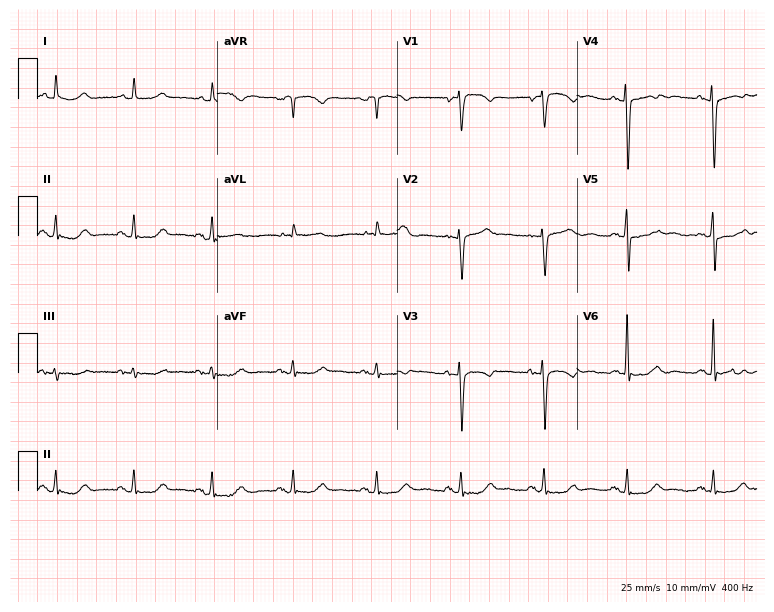
Resting 12-lead electrocardiogram. Patient: a female, 68 years old. None of these six findings is recorded: first-degree AV block, right bundle branch block, left bundle branch block, sinus bradycardia, atrial fibrillation, sinus tachycardia.